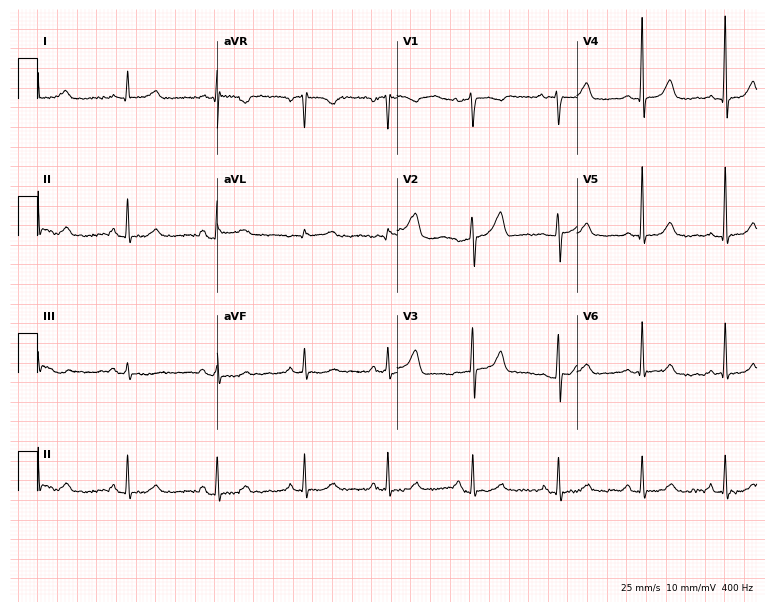
Electrocardiogram (7.3-second recording at 400 Hz), a 61-year-old female patient. Of the six screened findings (first-degree AV block, right bundle branch block, left bundle branch block, sinus bradycardia, atrial fibrillation, sinus tachycardia), none is recorded.